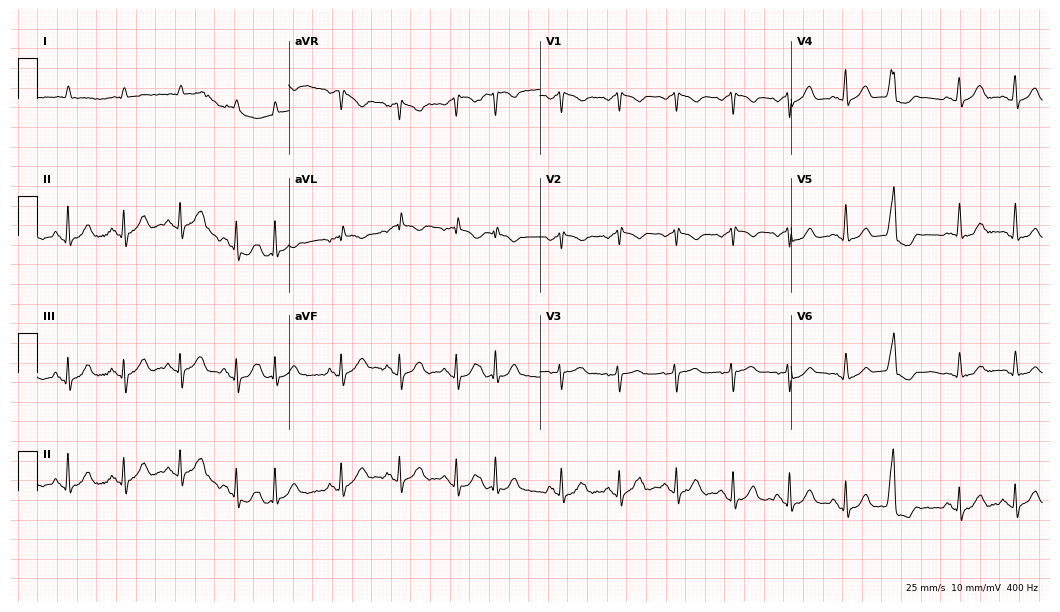
Standard 12-lead ECG recorded from a man, 76 years old. The tracing shows sinus tachycardia (a sinus rate of 100 beats per minute or more).